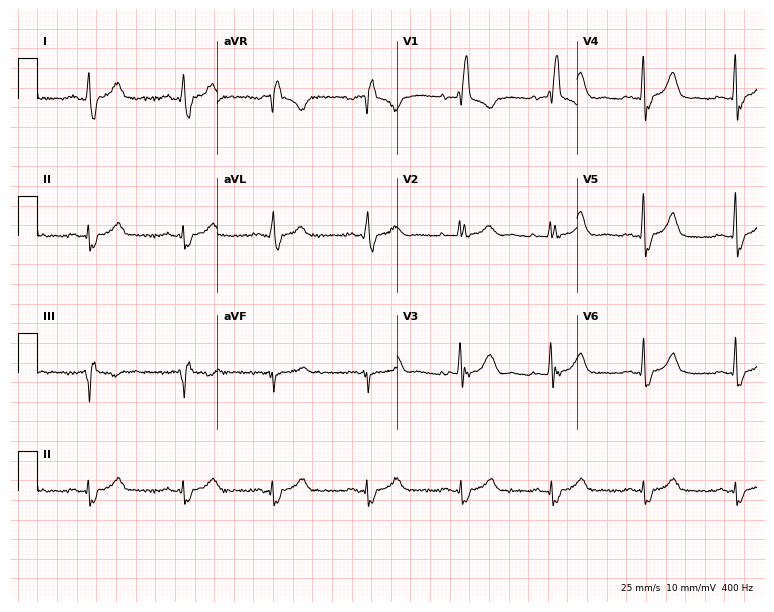
Electrocardiogram (7.3-second recording at 400 Hz), a 71-year-old woman. Interpretation includes right bundle branch block (RBBB).